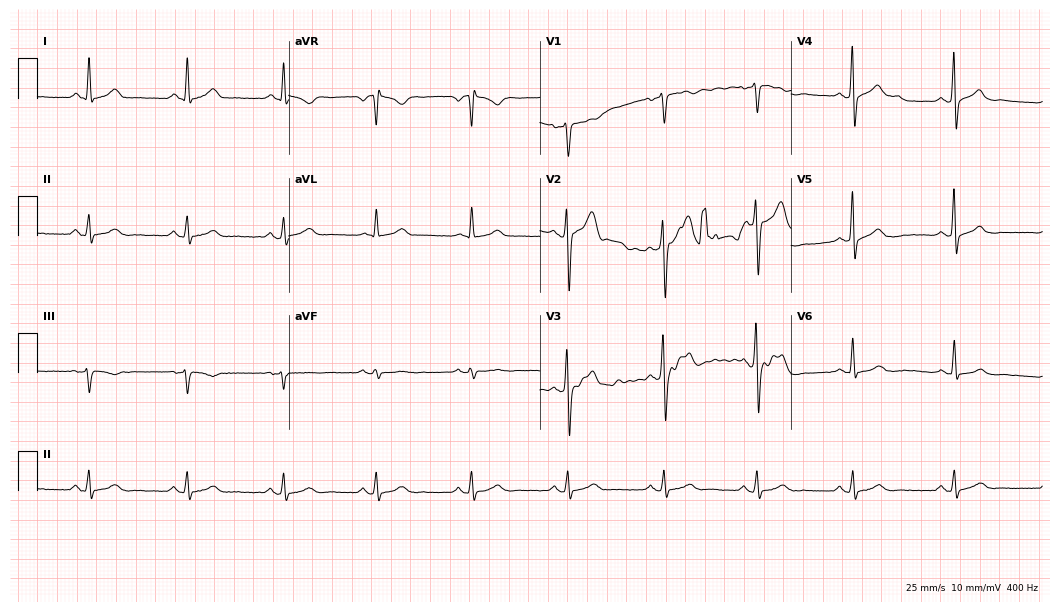
12-lead ECG from a 41-year-old male. Recorded interpretation: within normal limits.